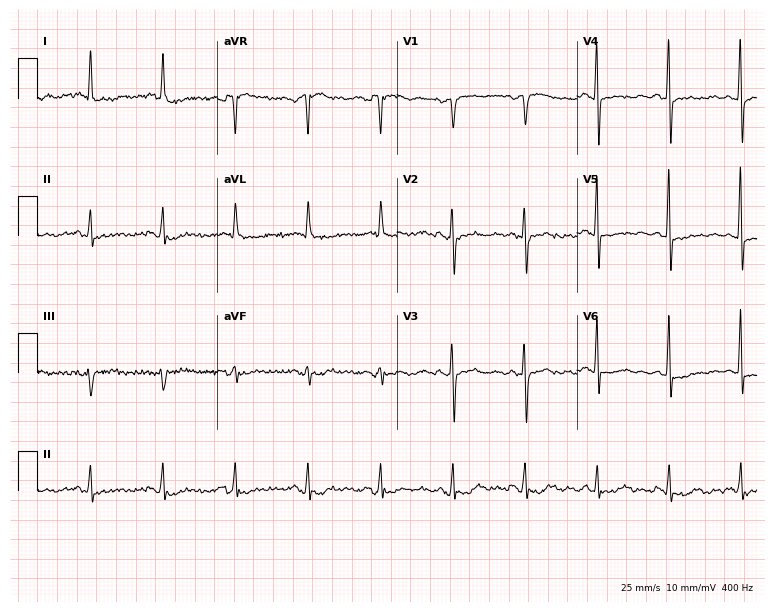
ECG — a 65-year-old woman. Screened for six findings — first-degree AV block, right bundle branch block, left bundle branch block, sinus bradycardia, atrial fibrillation, sinus tachycardia — none is recorded.